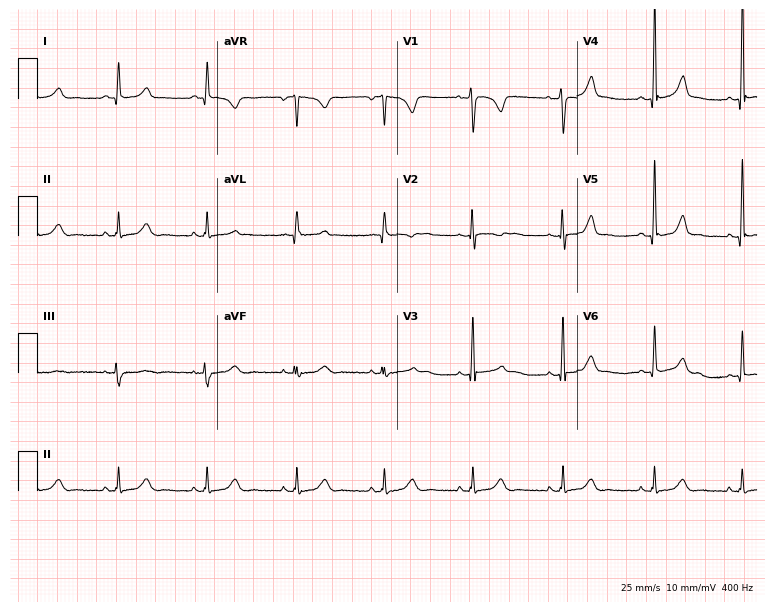
Electrocardiogram, a female, 42 years old. Overall reading on record: normal ECG.